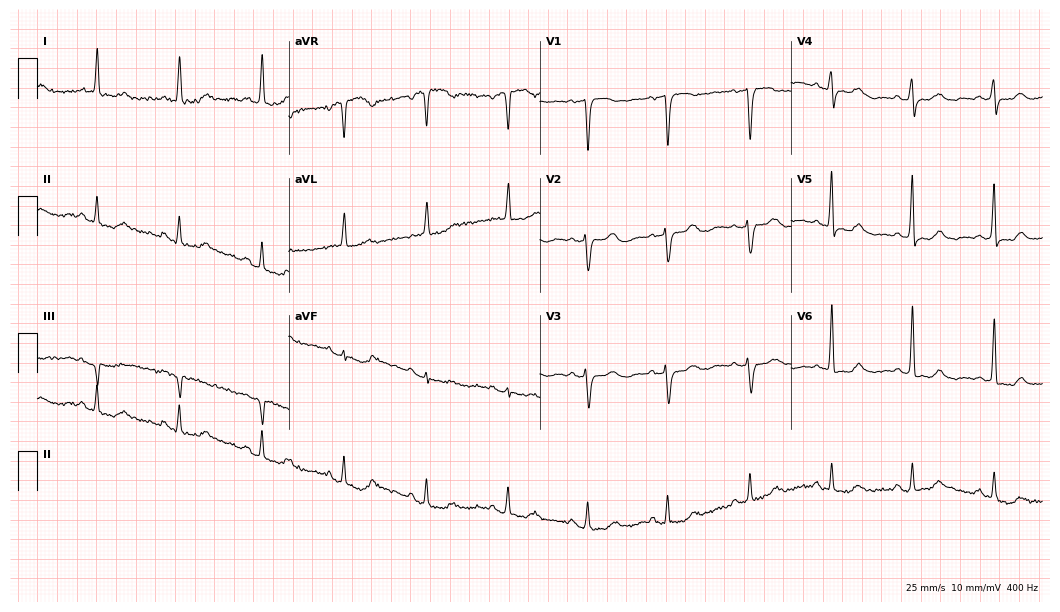
Electrocardiogram (10.2-second recording at 400 Hz), a 74-year-old female patient. Of the six screened findings (first-degree AV block, right bundle branch block, left bundle branch block, sinus bradycardia, atrial fibrillation, sinus tachycardia), none is recorded.